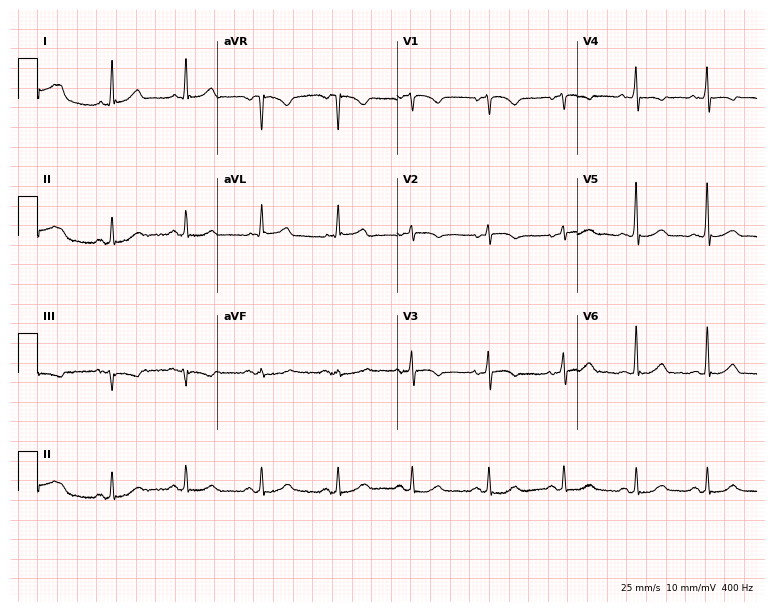
Resting 12-lead electrocardiogram (7.3-second recording at 400 Hz). Patient: a 69-year-old female. None of these six findings is recorded: first-degree AV block, right bundle branch block (RBBB), left bundle branch block (LBBB), sinus bradycardia, atrial fibrillation (AF), sinus tachycardia.